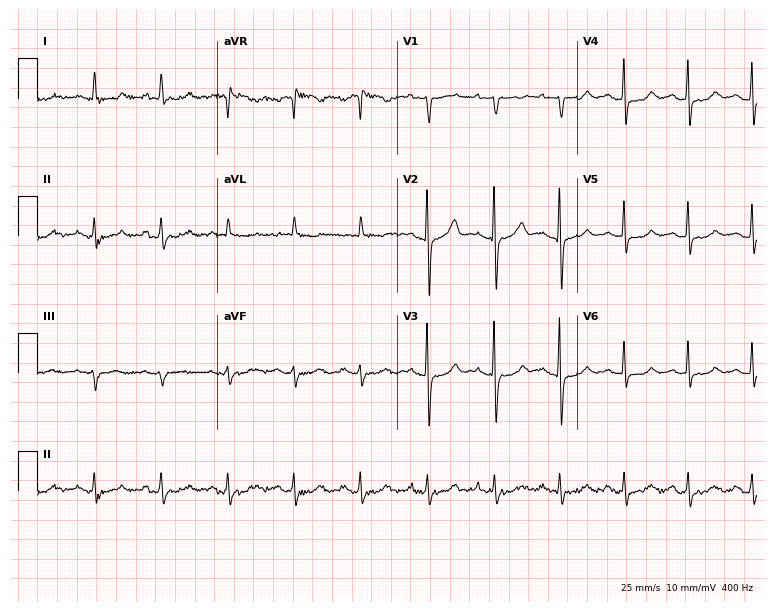
12-lead ECG from a 76-year-old female. Labelled as a normal ECG.